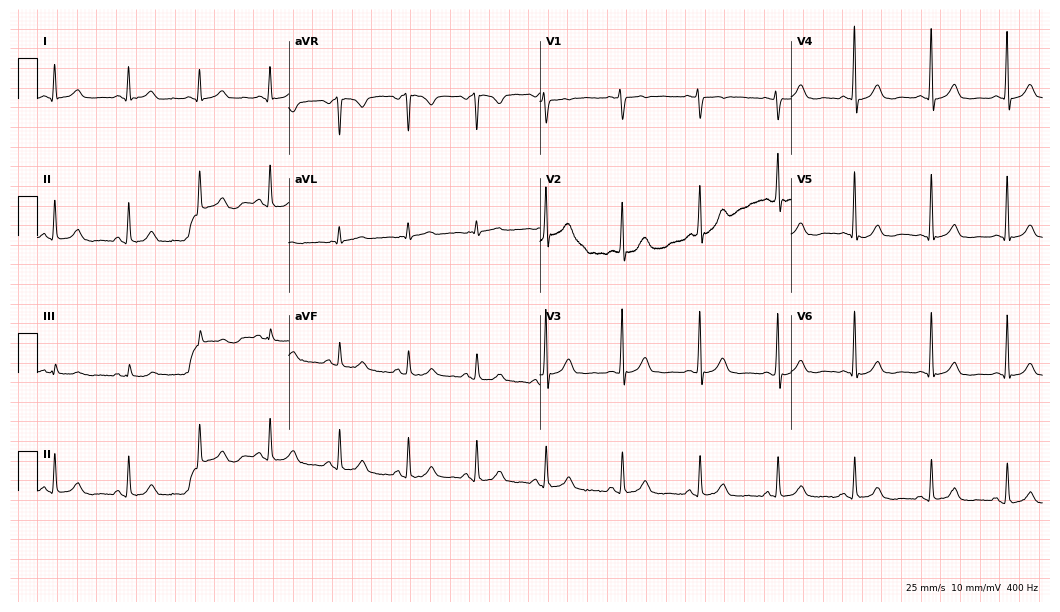
Resting 12-lead electrocardiogram. Patient: a man, 54 years old. None of these six findings is recorded: first-degree AV block, right bundle branch block (RBBB), left bundle branch block (LBBB), sinus bradycardia, atrial fibrillation (AF), sinus tachycardia. Only these six findings were labelled.